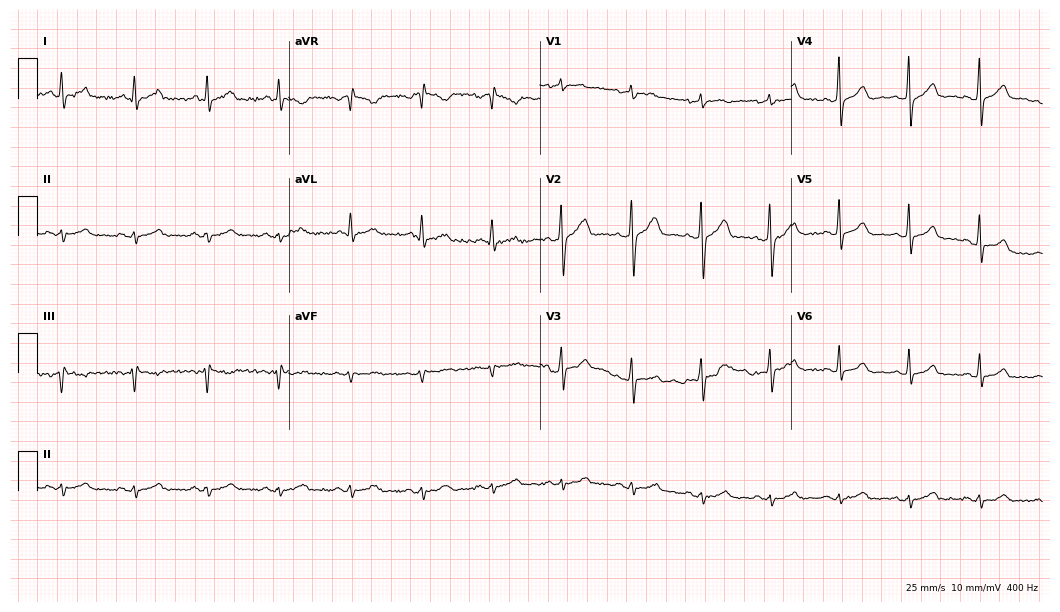
Resting 12-lead electrocardiogram (10.2-second recording at 400 Hz). Patient: a man, 53 years old. Read as a normal ECG.